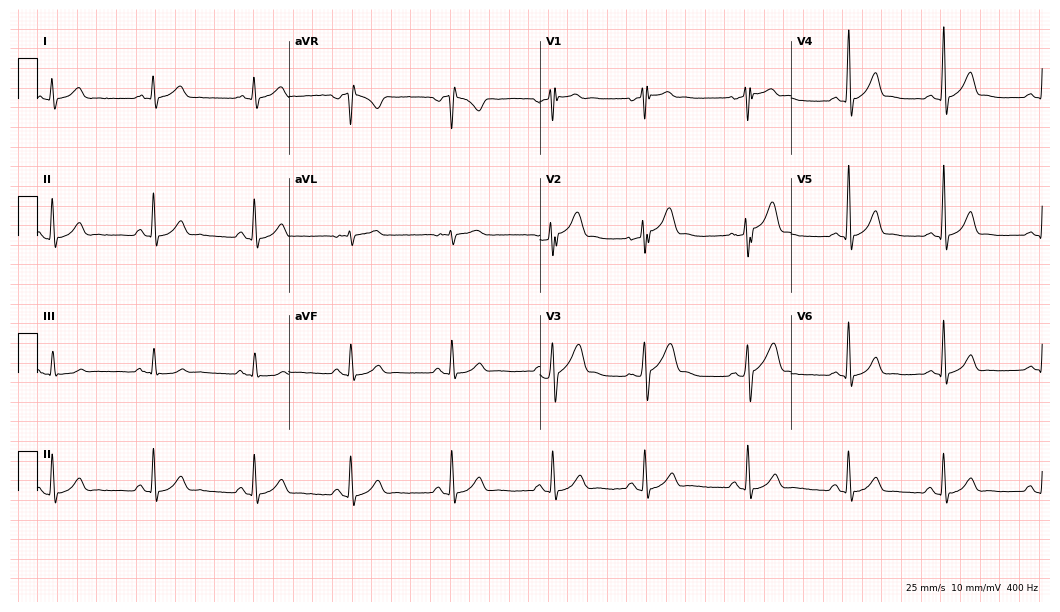
Standard 12-lead ECG recorded from a 33-year-old male. None of these six findings is recorded: first-degree AV block, right bundle branch block (RBBB), left bundle branch block (LBBB), sinus bradycardia, atrial fibrillation (AF), sinus tachycardia.